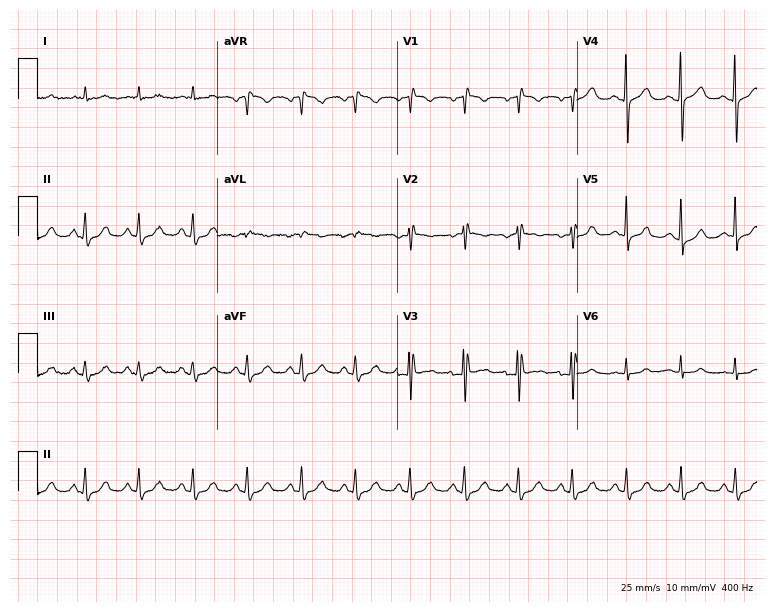
Electrocardiogram, a 70-year-old woman. Of the six screened findings (first-degree AV block, right bundle branch block (RBBB), left bundle branch block (LBBB), sinus bradycardia, atrial fibrillation (AF), sinus tachycardia), none is recorded. Only these six findings were labelled.